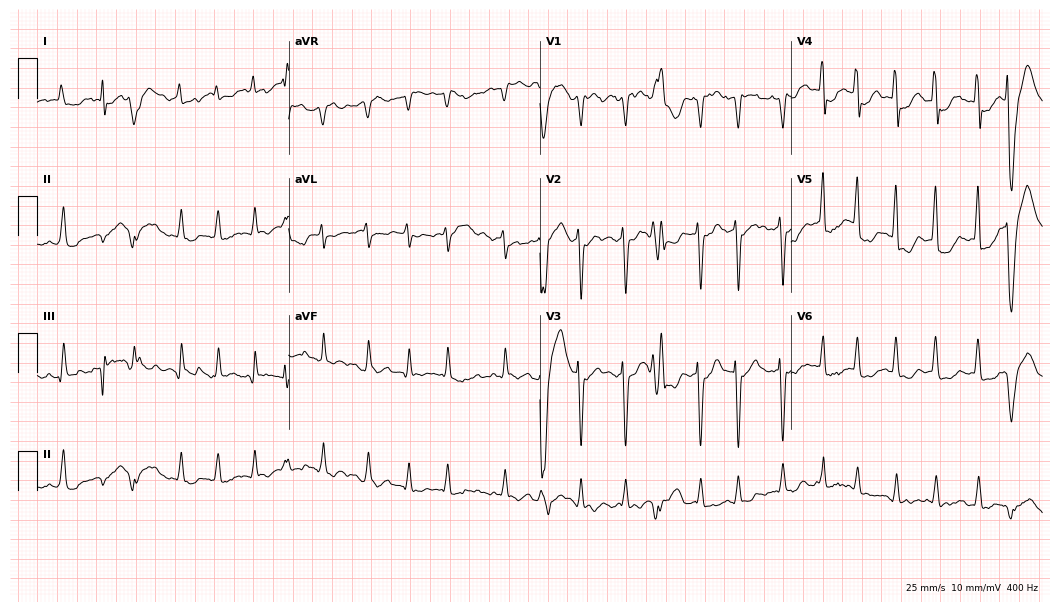
12-lead ECG from an 82-year-old male (10.2-second recording at 400 Hz). Shows atrial fibrillation.